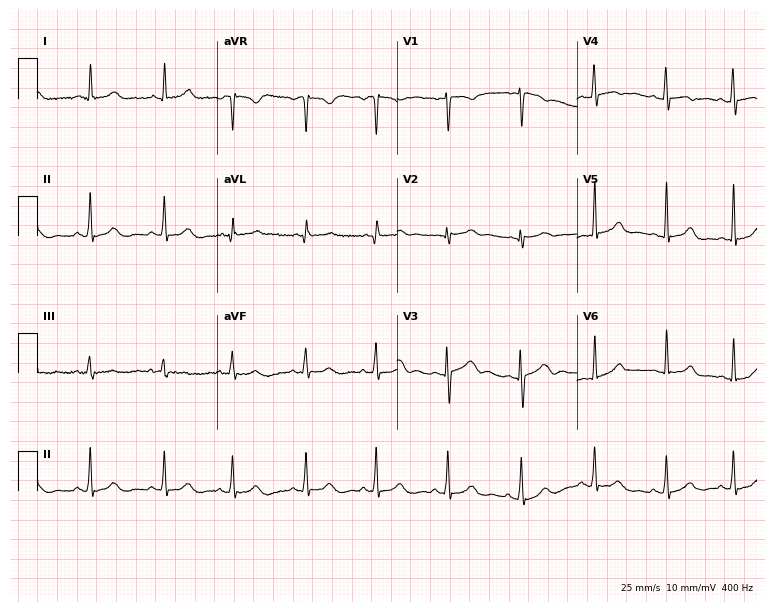
Resting 12-lead electrocardiogram (7.3-second recording at 400 Hz). Patient: a female, 26 years old. None of these six findings is recorded: first-degree AV block, right bundle branch block, left bundle branch block, sinus bradycardia, atrial fibrillation, sinus tachycardia.